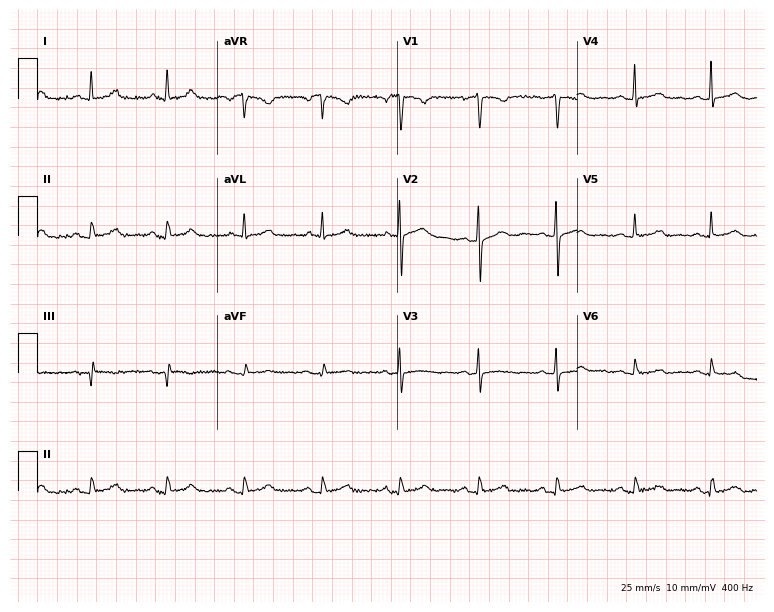
12-lead ECG from a female patient, 56 years old. Recorded interpretation: within normal limits.